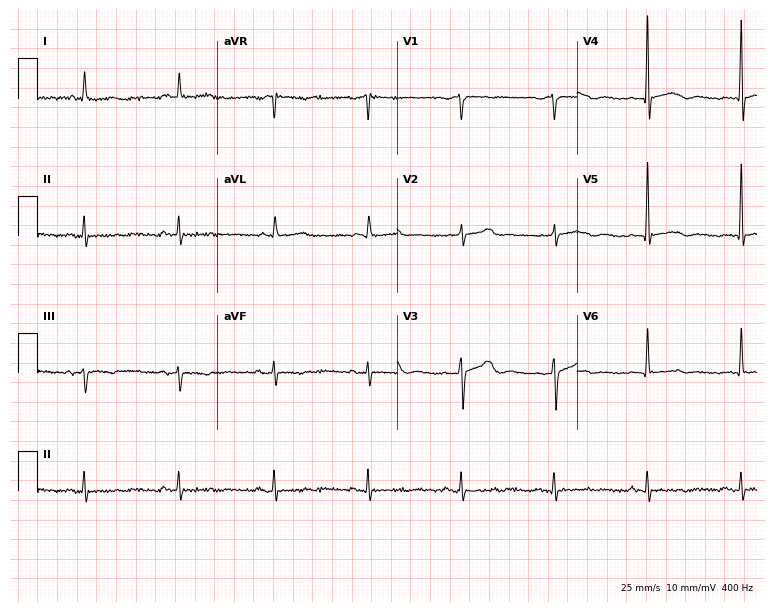
12-lead ECG from a male, 64 years old (7.3-second recording at 400 Hz). No first-degree AV block, right bundle branch block, left bundle branch block, sinus bradycardia, atrial fibrillation or sinus tachycardia recorded for this tracing. Only these six findings were labelled.